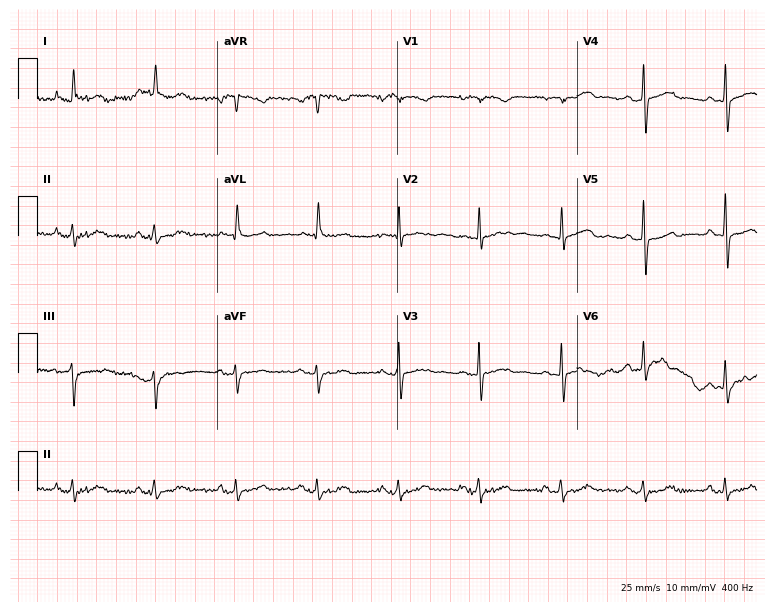
Electrocardiogram, a male patient, 88 years old. Of the six screened findings (first-degree AV block, right bundle branch block, left bundle branch block, sinus bradycardia, atrial fibrillation, sinus tachycardia), none is recorded.